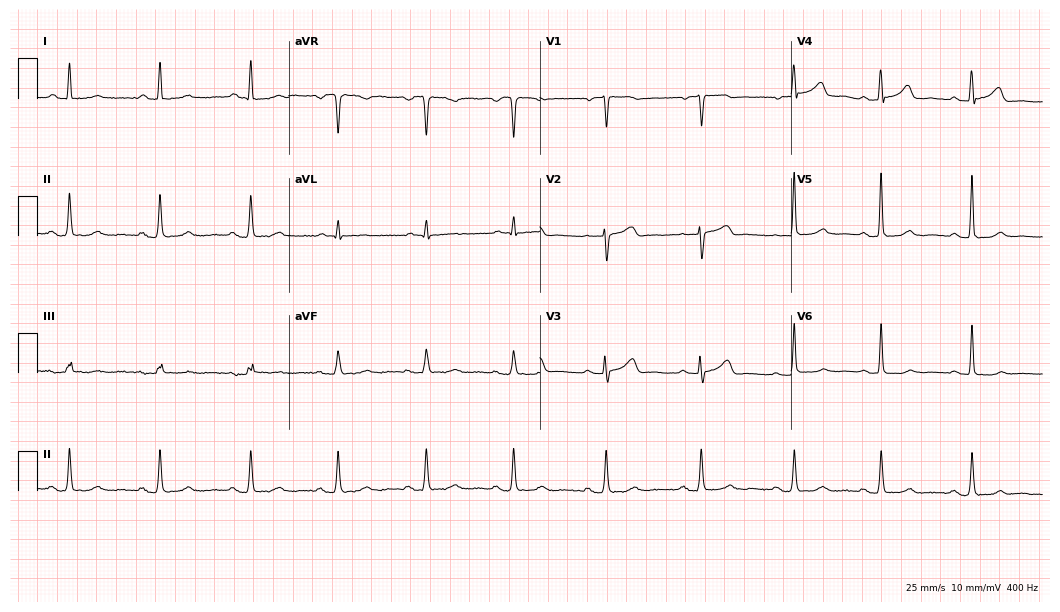
Standard 12-lead ECG recorded from a female, 61 years old. Read as a normal ECG.